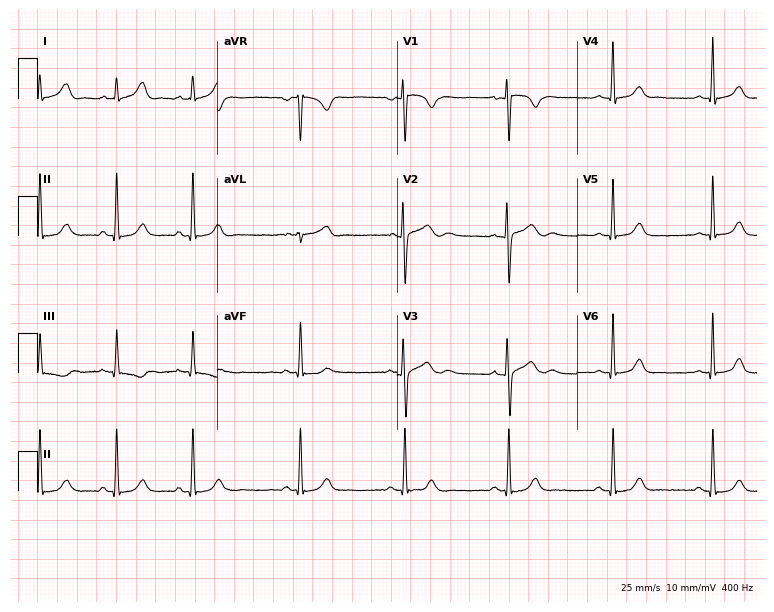
12-lead ECG from a 19-year-old female. Recorded interpretation: within normal limits.